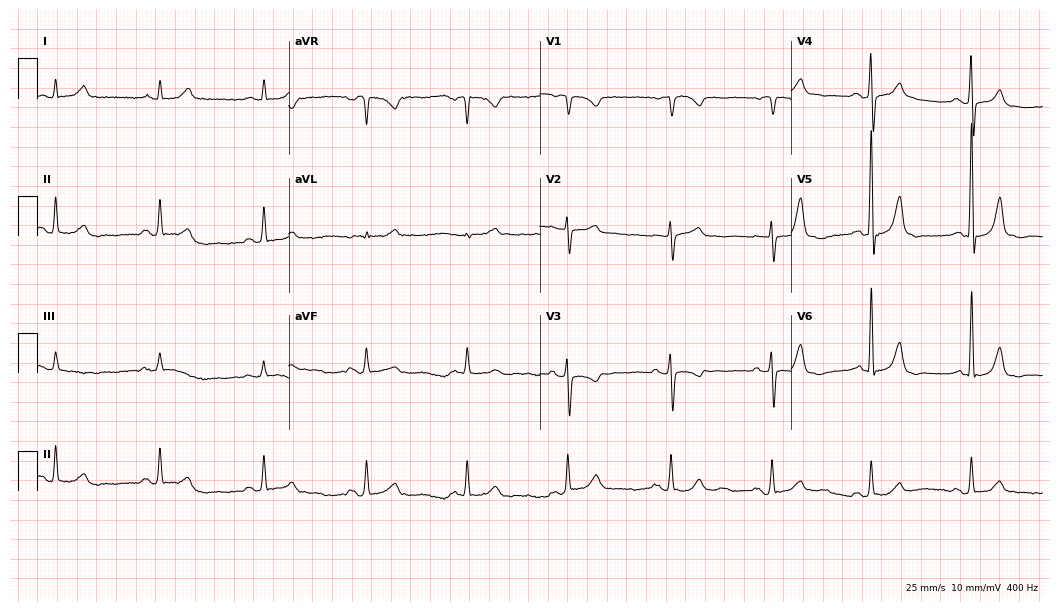
ECG — a male, 76 years old. Screened for six findings — first-degree AV block, right bundle branch block, left bundle branch block, sinus bradycardia, atrial fibrillation, sinus tachycardia — none is recorded. Findings outside these six are not listed.